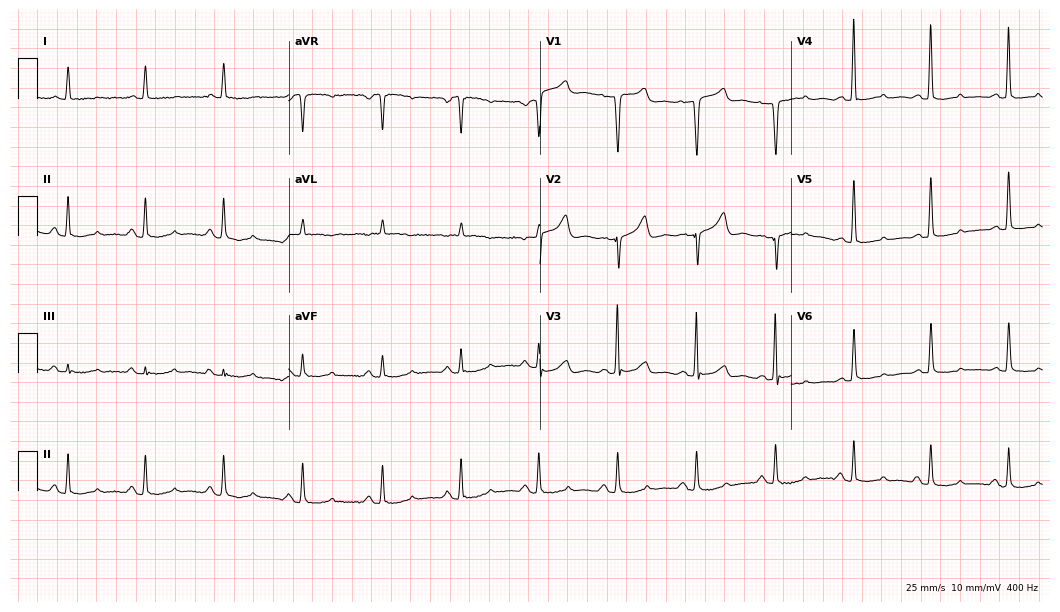
12-lead ECG from a woman, 78 years old. Screened for six findings — first-degree AV block, right bundle branch block (RBBB), left bundle branch block (LBBB), sinus bradycardia, atrial fibrillation (AF), sinus tachycardia — none is recorded.